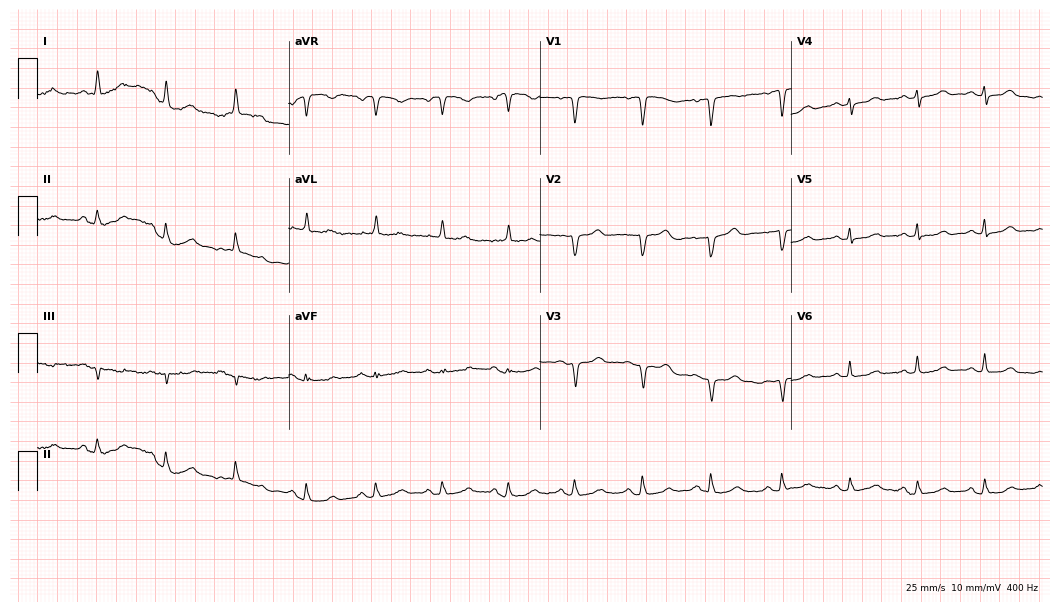
Resting 12-lead electrocardiogram (10.2-second recording at 400 Hz). Patient: an 82-year-old female. None of these six findings is recorded: first-degree AV block, right bundle branch block, left bundle branch block, sinus bradycardia, atrial fibrillation, sinus tachycardia. Only these six findings were labelled.